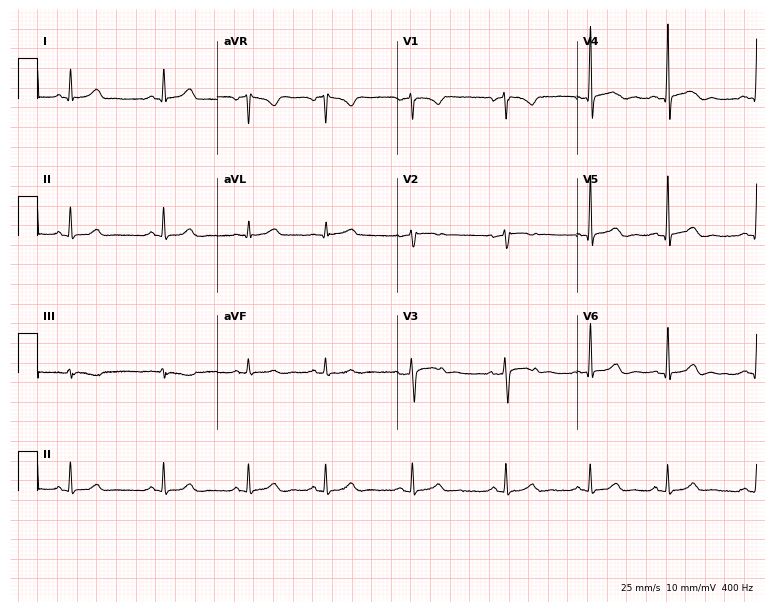
12-lead ECG from a 38-year-old woman. Screened for six findings — first-degree AV block, right bundle branch block, left bundle branch block, sinus bradycardia, atrial fibrillation, sinus tachycardia — none is recorded.